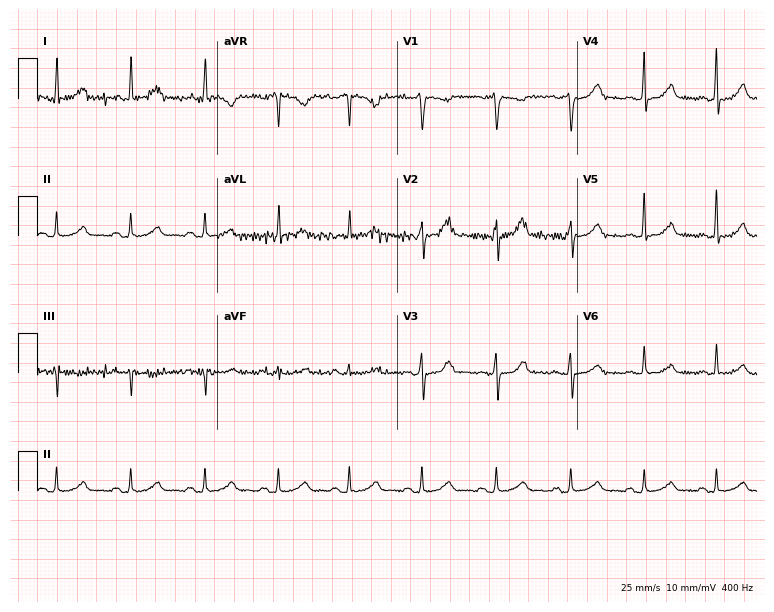
Standard 12-lead ECG recorded from a female, 51 years old (7.3-second recording at 400 Hz). None of these six findings is recorded: first-degree AV block, right bundle branch block (RBBB), left bundle branch block (LBBB), sinus bradycardia, atrial fibrillation (AF), sinus tachycardia. Other findings, if any, are not listed.